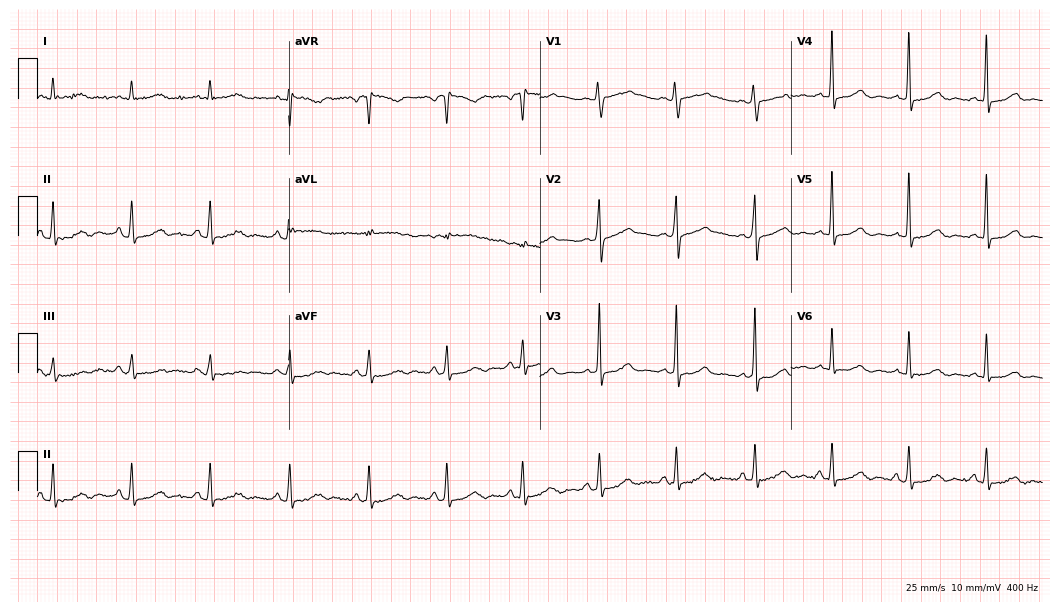
12-lead ECG from a female, 51 years old. No first-degree AV block, right bundle branch block, left bundle branch block, sinus bradycardia, atrial fibrillation or sinus tachycardia recorded for this tracing. Other findings, if any, are not listed.